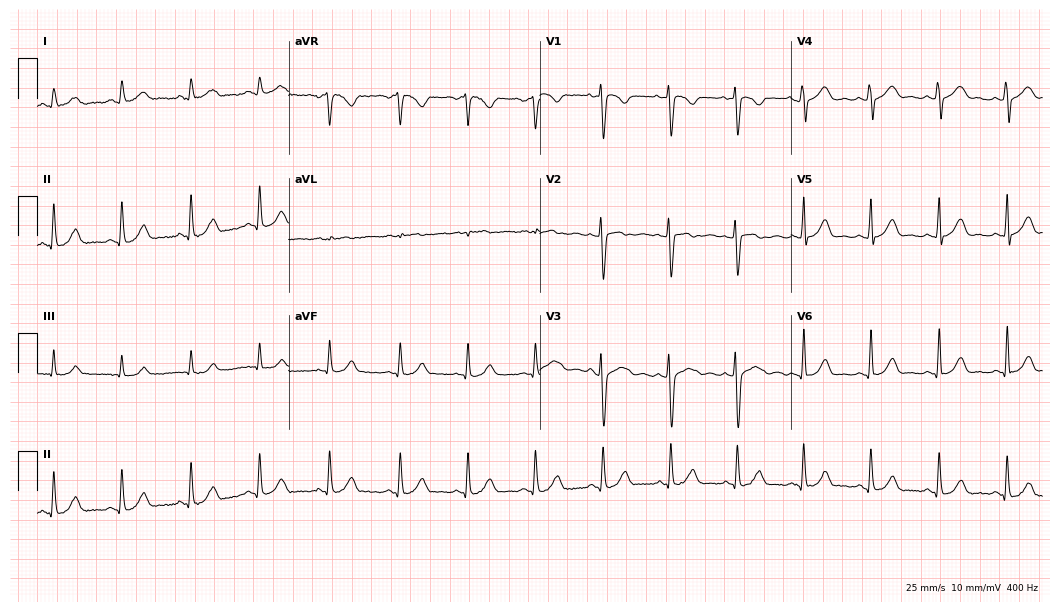
12-lead ECG from a female, 30 years old. Recorded interpretation: within normal limits.